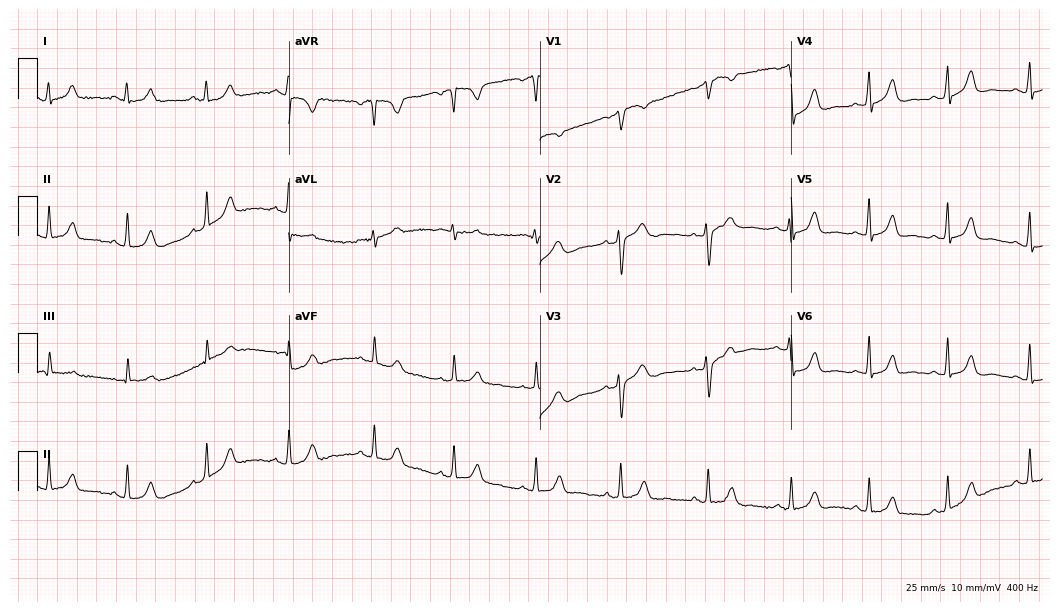
Resting 12-lead electrocardiogram. Patient: a 34-year-old female. Read as a normal ECG.